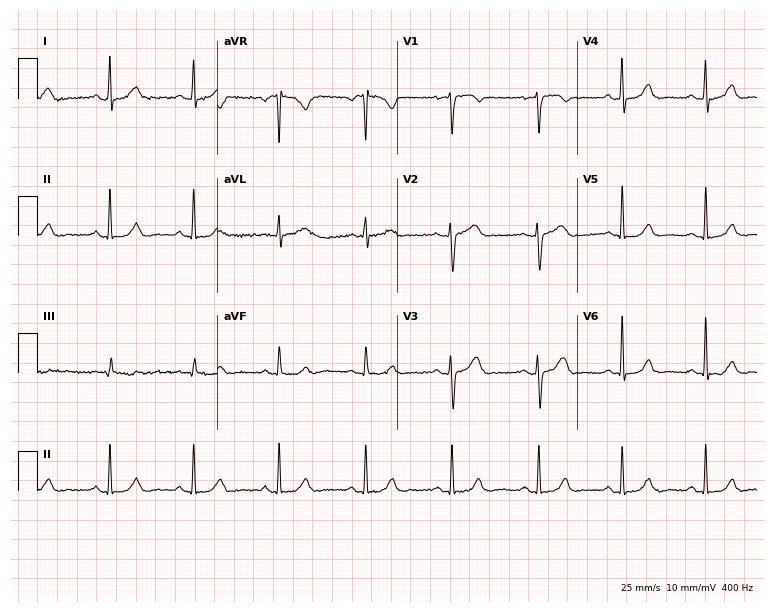
Resting 12-lead electrocardiogram. Patient: a female, 34 years old. Read as a normal ECG.